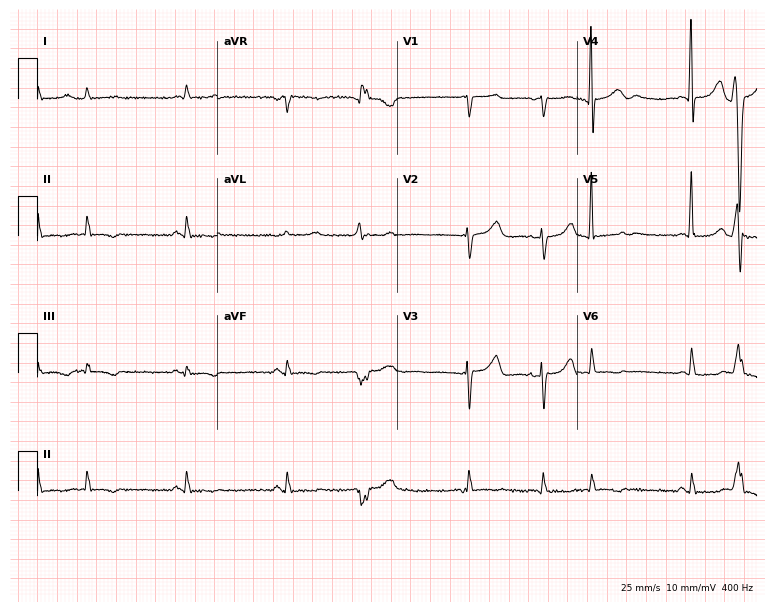
Standard 12-lead ECG recorded from a 79-year-old female (7.3-second recording at 400 Hz). None of these six findings is recorded: first-degree AV block, right bundle branch block, left bundle branch block, sinus bradycardia, atrial fibrillation, sinus tachycardia.